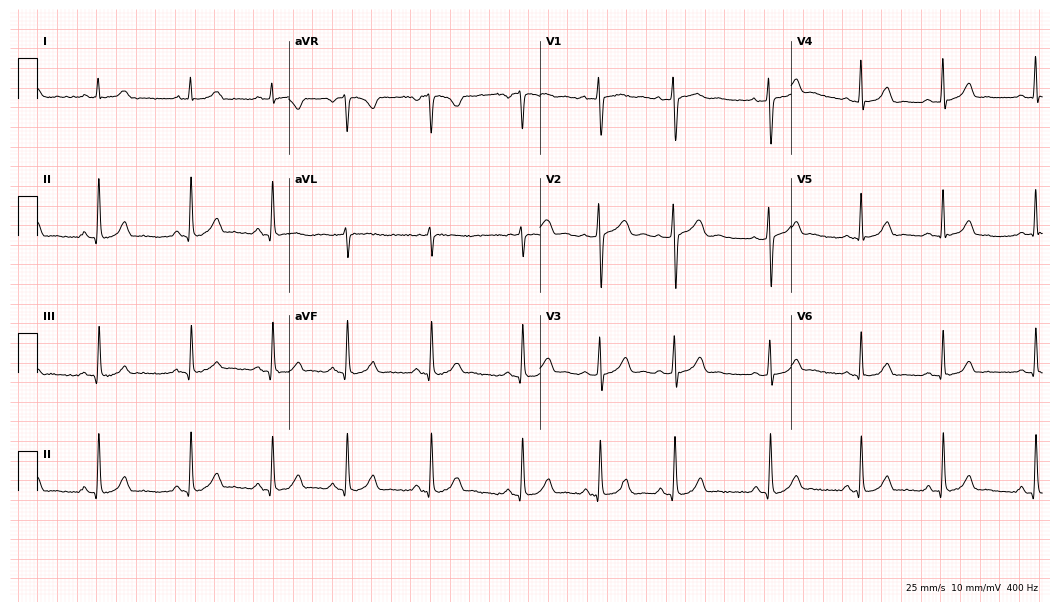
ECG — a woman, 21 years old. Labelled as a normal ECG.